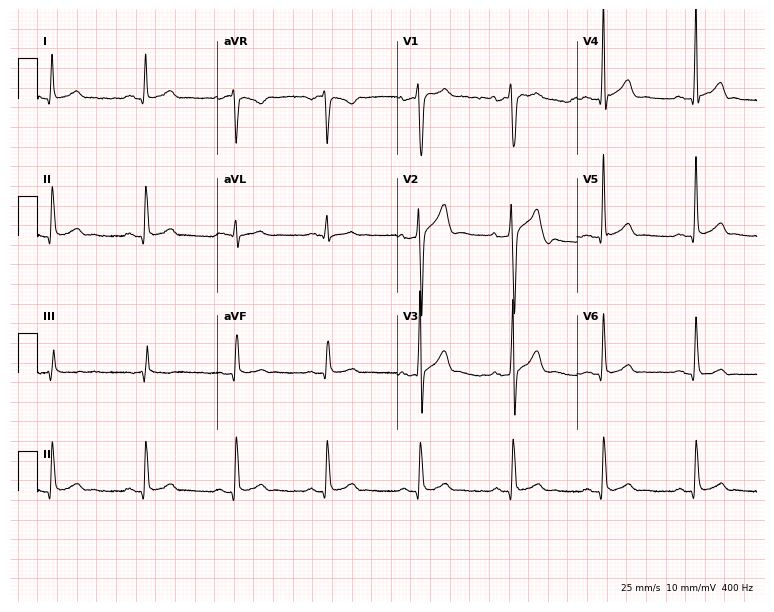
Resting 12-lead electrocardiogram (7.3-second recording at 400 Hz). Patient: a male, 45 years old. None of these six findings is recorded: first-degree AV block, right bundle branch block, left bundle branch block, sinus bradycardia, atrial fibrillation, sinus tachycardia.